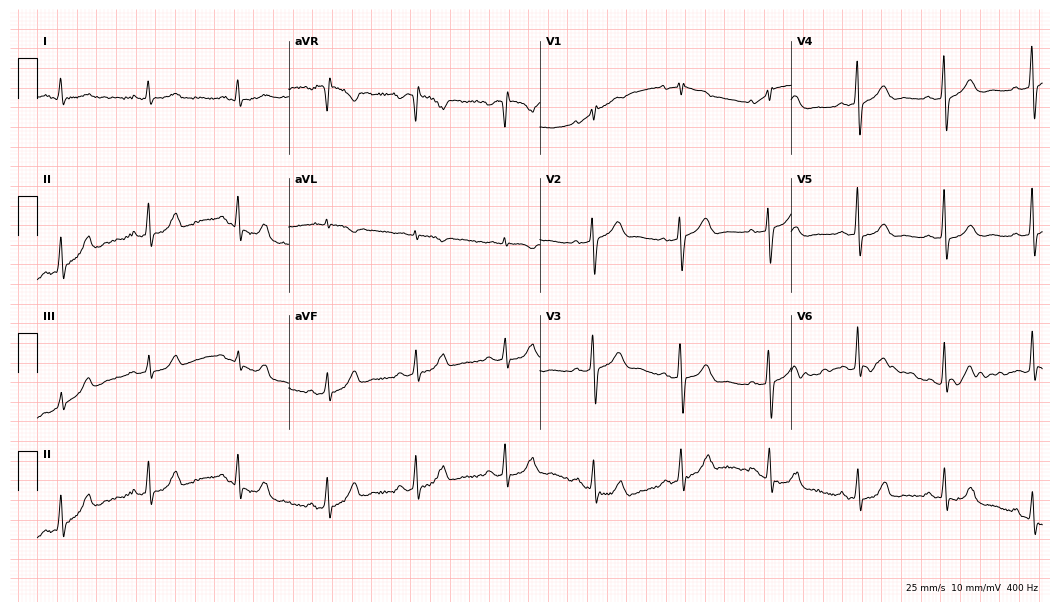
Standard 12-lead ECG recorded from a woman, 64 years old. Read as a normal ECG.